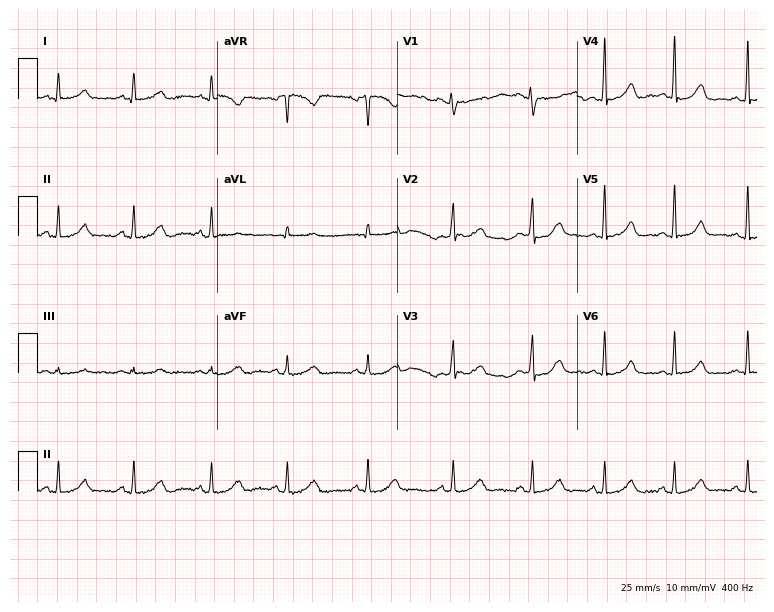
ECG — a 26-year-old female. Labelled as a normal ECG.